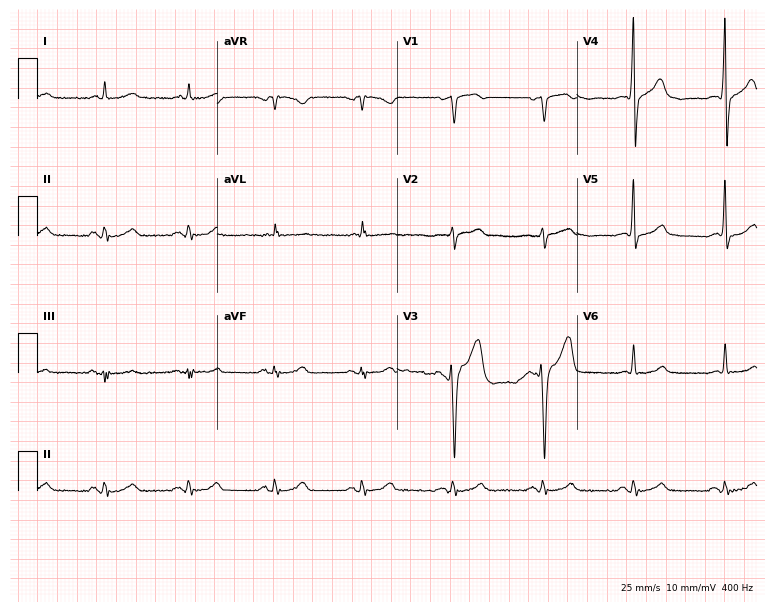
ECG (7.3-second recording at 400 Hz) — a male patient, 69 years old. Labelled as a normal ECG.